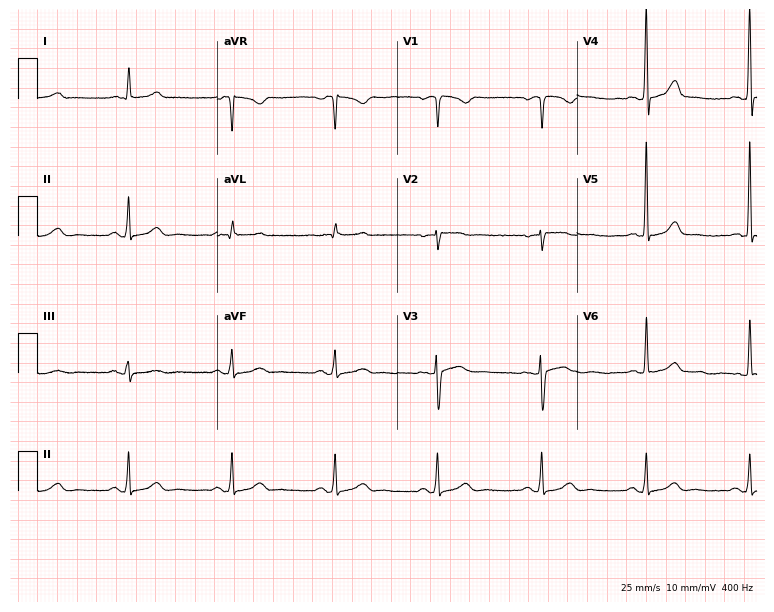
12-lead ECG from a 50-year-old female patient (7.3-second recording at 400 Hz). No first-degree AV block, right bundle branch block, left bundle branch block, sinus bradycardia, atrial fibrillation or sinus tachycardia recorded for this tracing.